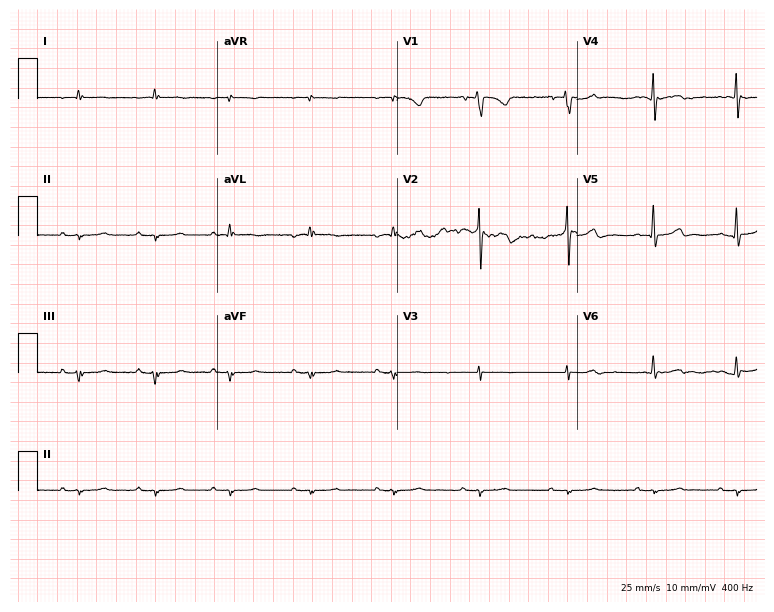
12-lead ECG from a male patient, 60 years old (7.3-second recording at 400 Hz). No first-degree AV block, right bundle branch block, left bundle branch block, sinus bradycardia, atrial fibrillation or sinus tachycardia recorded for this tracing.